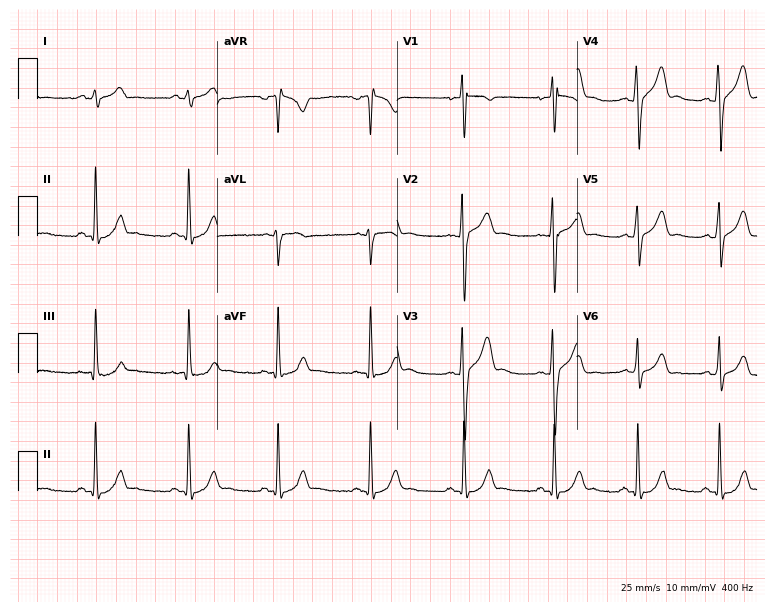
Resting 12-lead electrocardiogram. Patient: a male, 27 years old. None of these six findings is recorded: first-degree AV block, right bundle branch block, left bundle branch block, sinus bradycardia, atrial fibrillation, sinus tachycardia.